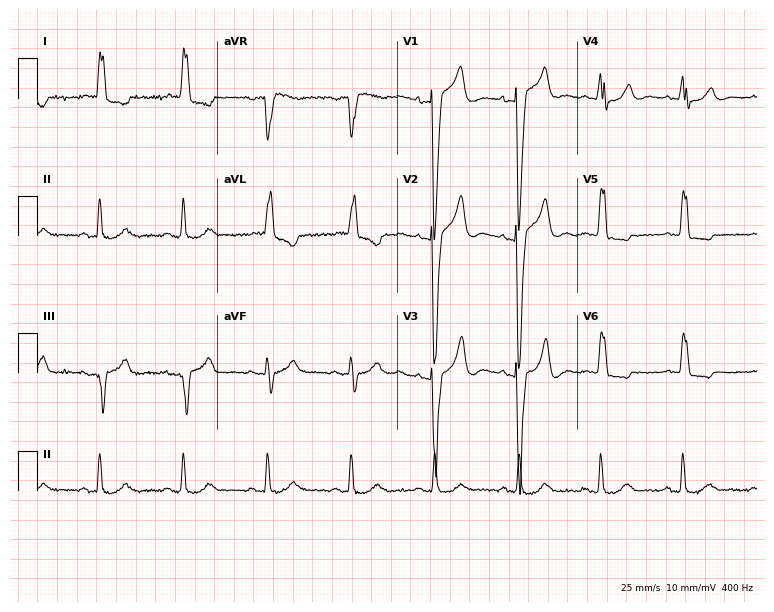
12-lead ECG from a 78-year-old woman. Findings include left bundle branch block.